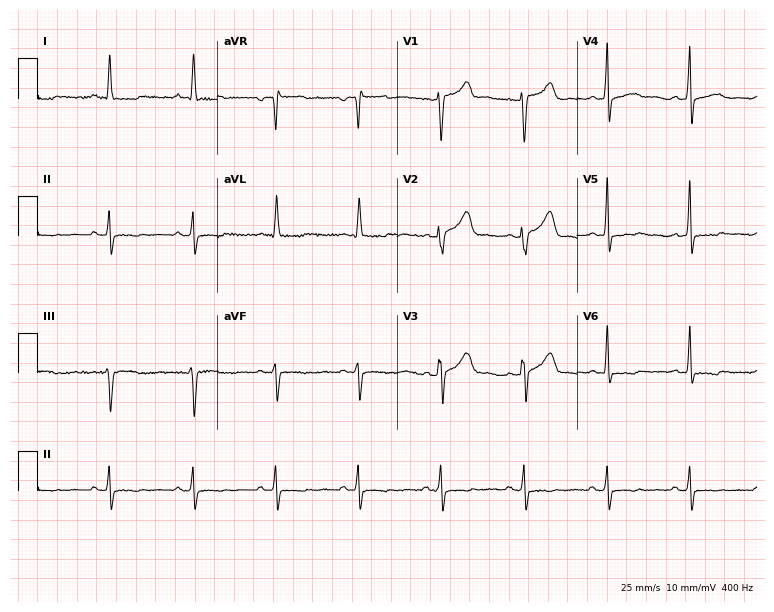
ECG (7.3-second recording at 400 Hz) — a 59-year-old man. Screened for six findings — first-degree AV block, right bundle branch block (RBBB), left bundle branch block (LBBB), sinus bradycardia, atrial fibrillation (AF), sinus tachycardia — none is recorded.